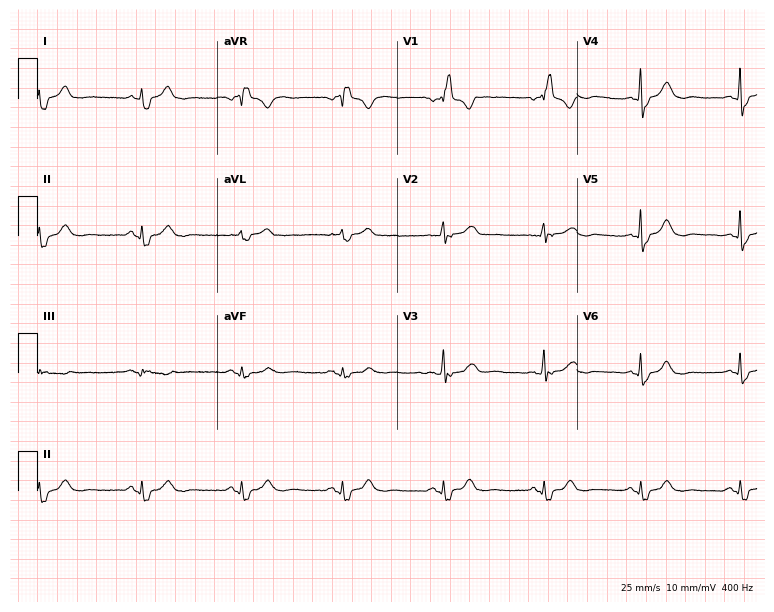
Standard 12-lead ECG recorded from a 71-year-old female patient (7.3-second recording at 400 Hz). The tracing shows right bundle branch block.